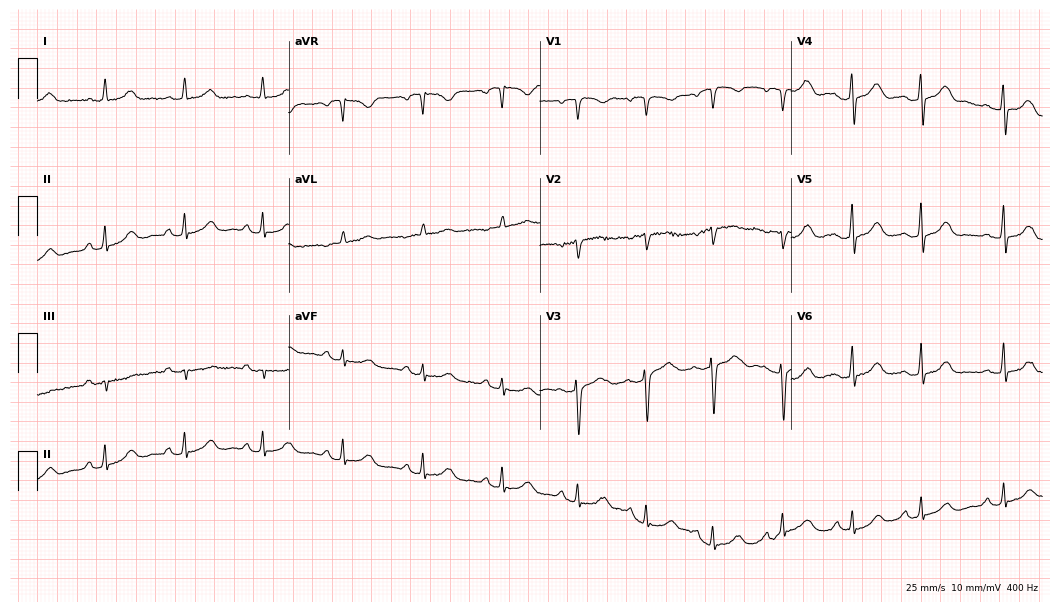
ECG (10.2-second recording at 400 Hz) — a 40-year-old woman. Screened for six findings — first-degree AV block, right bundle branch block, left bundle branch block, sinus bradycardia, atrial fibrillation, sinus tachycardia — none is recorded. Findings outside these six are not listed.